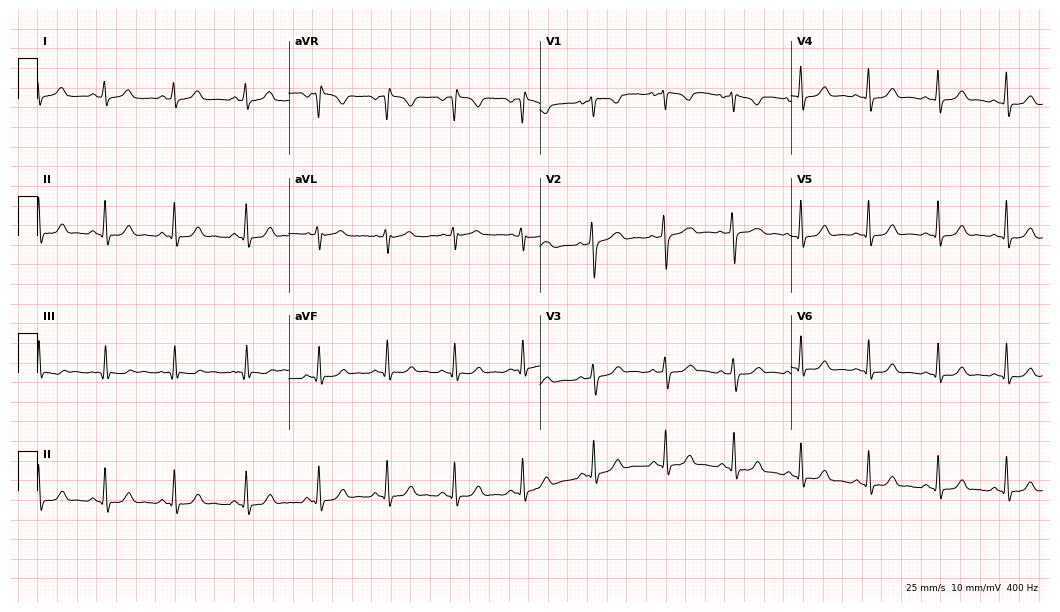
12-lead ECG from a female patient, 19 years old. Labelled as a normal ECG.